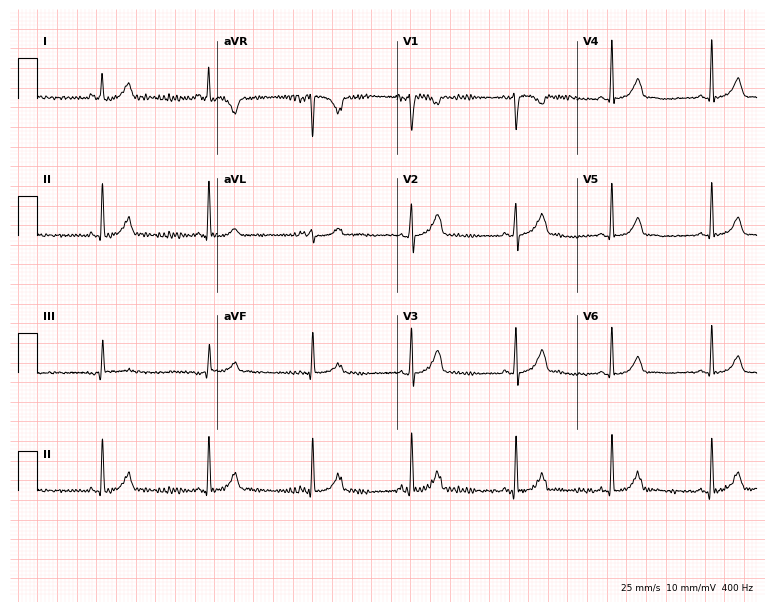
Resting 12-lead electrocardiogram (7.3-second recording at 400 Hz). Patient: a woman, 20 years old. Read as a normal ECG.